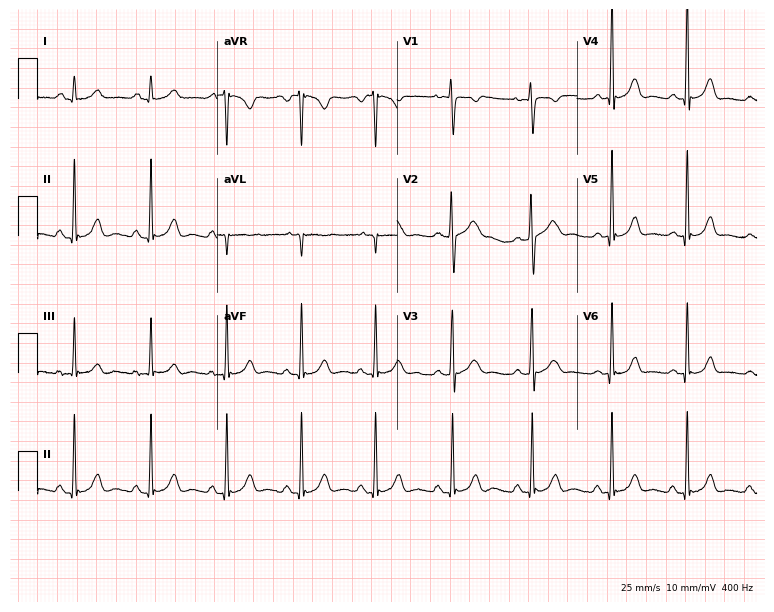
12-lead ECG (7.3-second recording at 400 Hz) from a 22-year-old female patient. Labelled as a normal ECG.